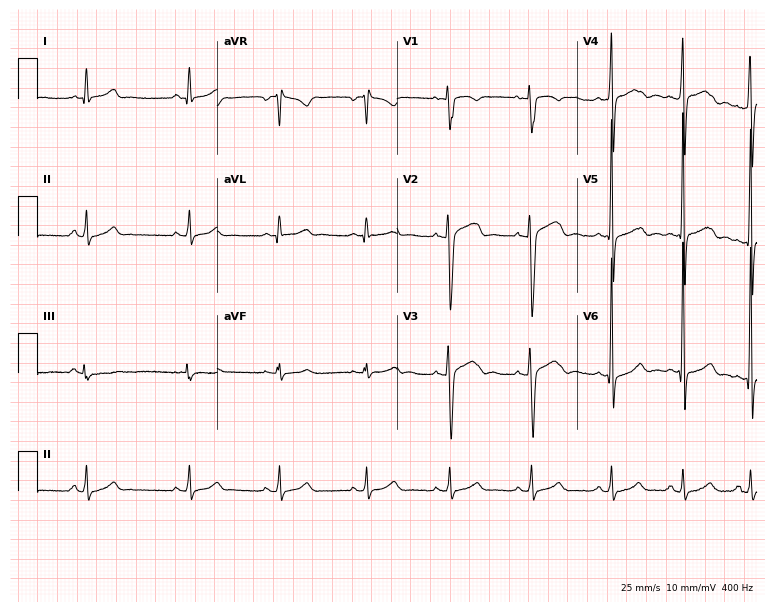
Standard 12-lead ECG recorded from a 19-year-old male. Read as a normal ECG.